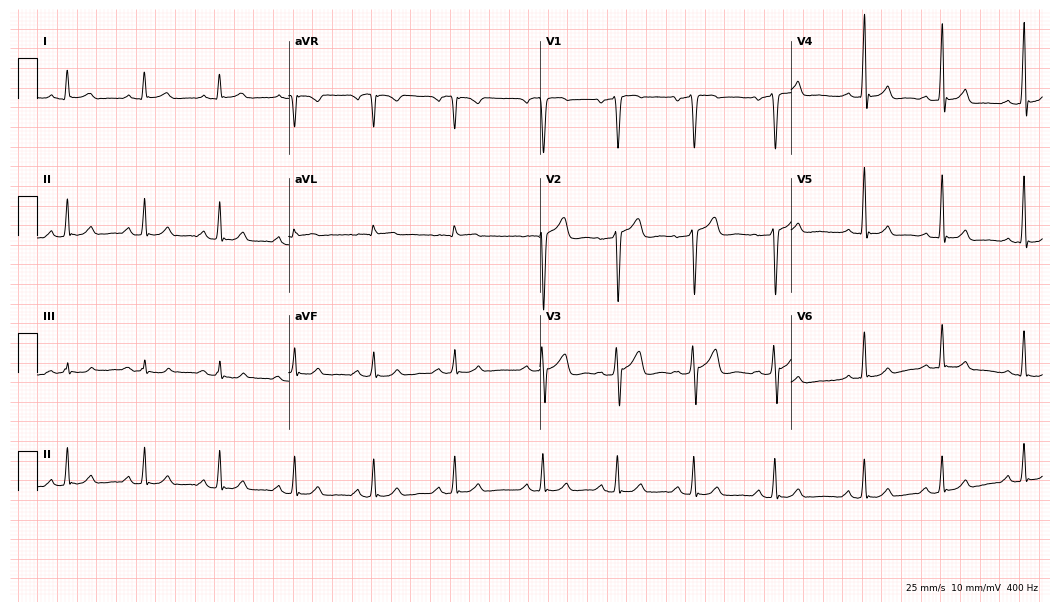
ECG (10.2-second recording at 400 Hz) — a male, 66 years old. Labelled as a normal ECG.